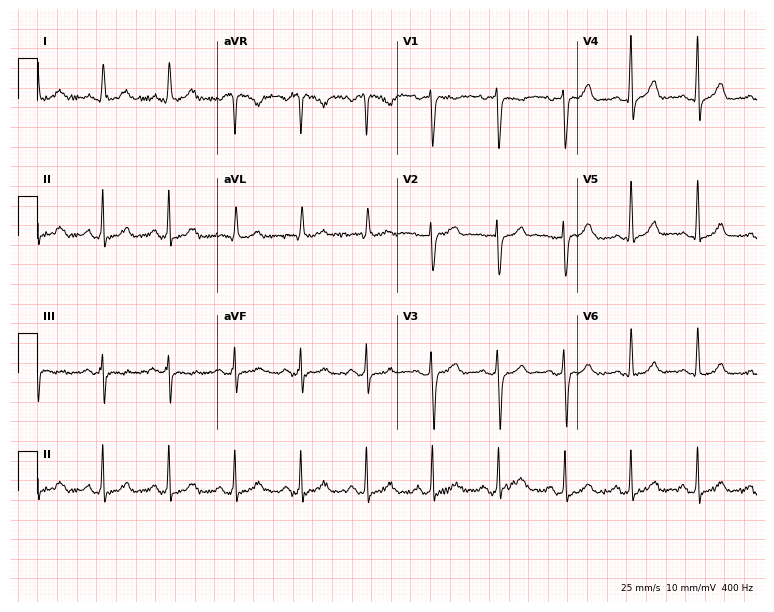
ECG (7.3-second recording at 400 Hz) — a female patient, 42 years old. Screened for six findings — first-degree AV block, right bundle branch block (RBBB), left bundle branch block (LBBB), sinus bradycardia, atrial fibrillation (AF), sinus tachycardia — none is recorded.